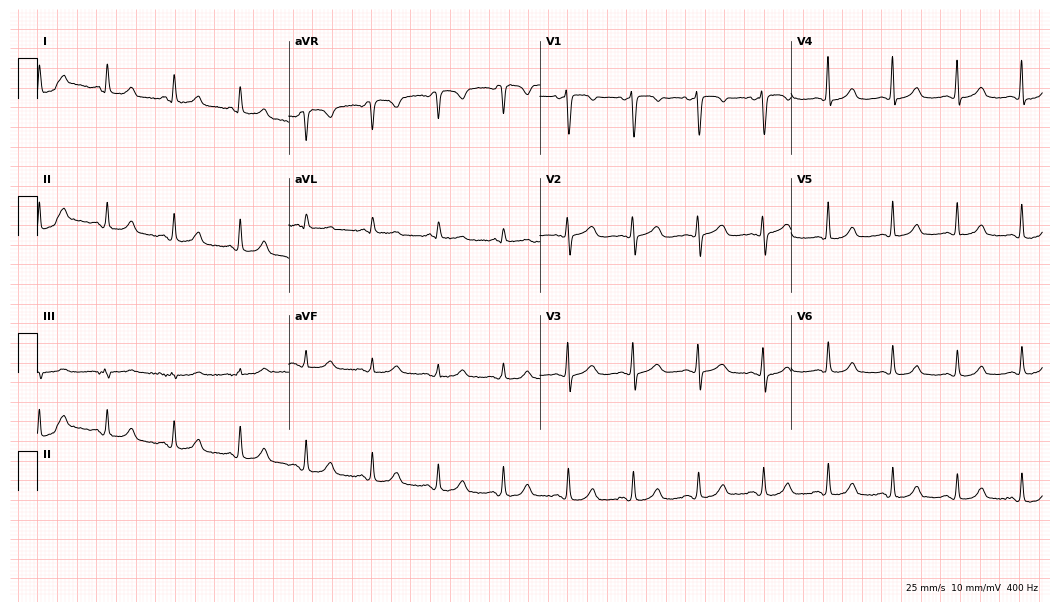
Standard 12-lead ECG recorded from a woman, 59 years old. Read as a normal ECG.